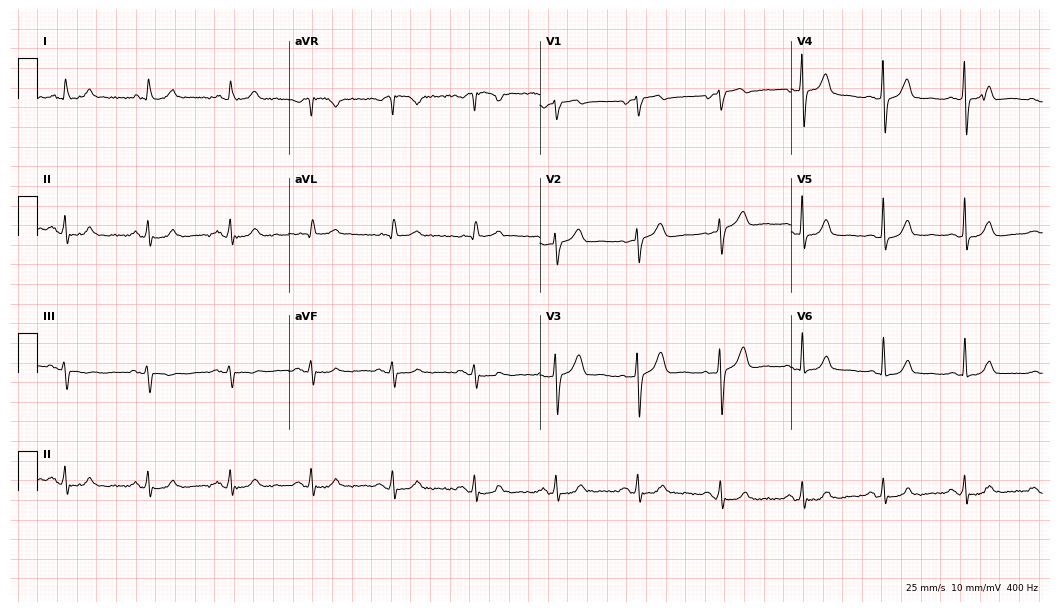
Resting 12-lead electrocardiogram. Patient: a 63-year-old male. Read as a normal ECG.